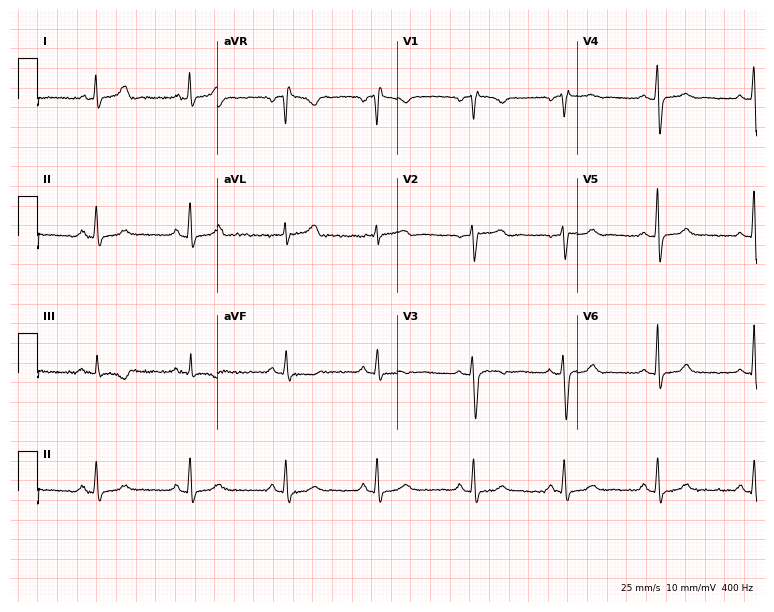
Resting 12-lead electrocardiogram. Patient: a 27-year-old woman. None of these six findings is recorded: first-degree AV block, right bundle branch block, left bundle branch block, sinus bradycardia, atrial fibrillation, sinus tachycardia. Other findings, if any, are not listed.